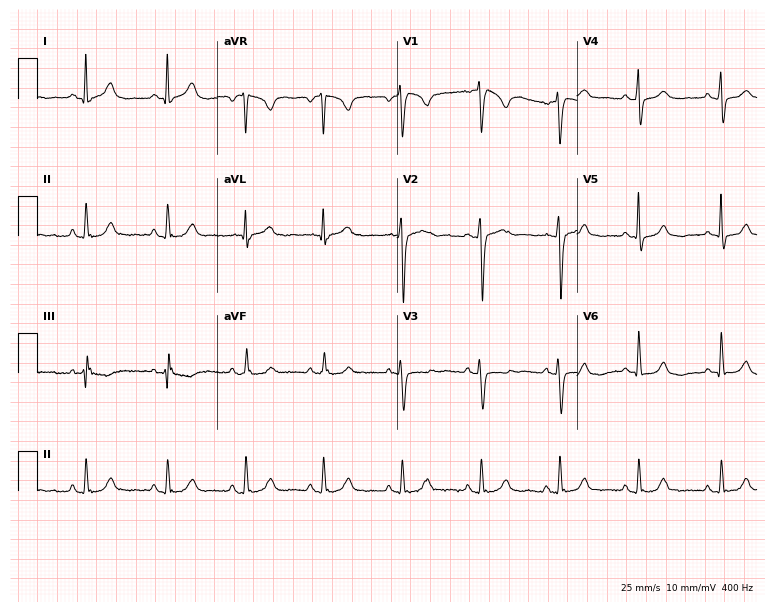
12-lead ECG from a female, 43 years old. Recorded interpretation: within normal limits.